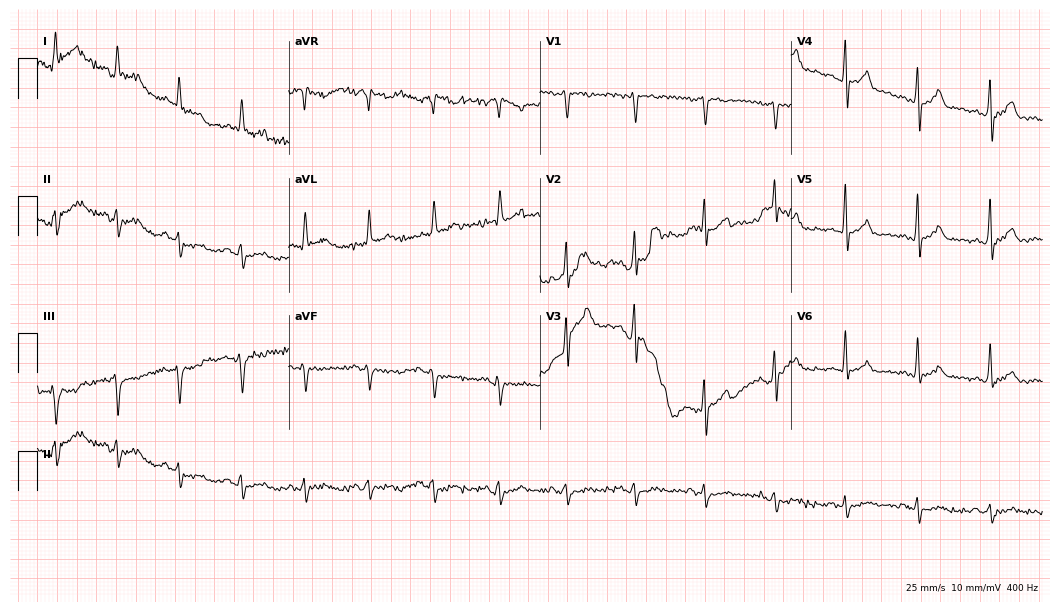
ECG (10.2-second recording at 400 Hz) — a 55-year-old man. Screened for six findings — first-degree AV block, right bundle branch block, left bundle branch block, sinus bradycardia, atrial fibrillation, sinus tachycardia — none is recorded.